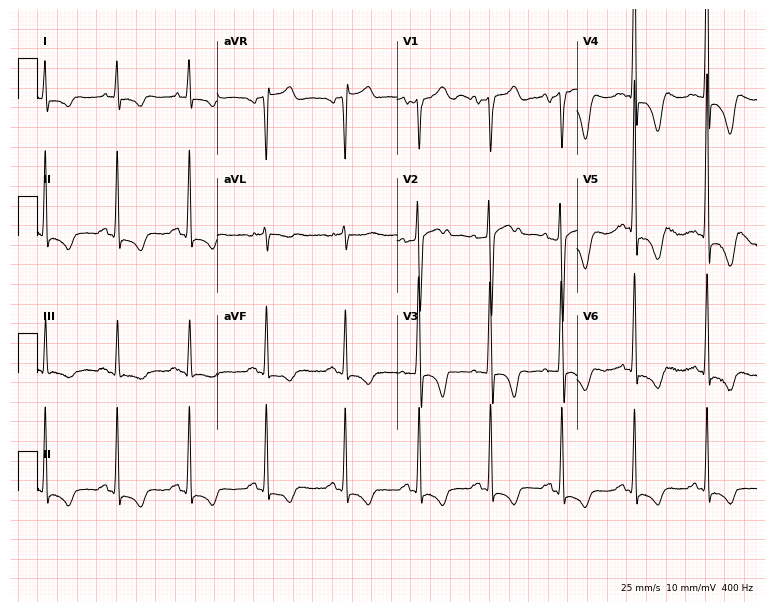
Resting 12-lead electrocardiogram. Patient: a 68-year-old male. None of these six findings is recorded: first-degree AV block, right bundle branch block, left bundle branch block, sinus bradycardia, atrial fibrillation, sinus tachycardia. Other findings, if any, are not listed.